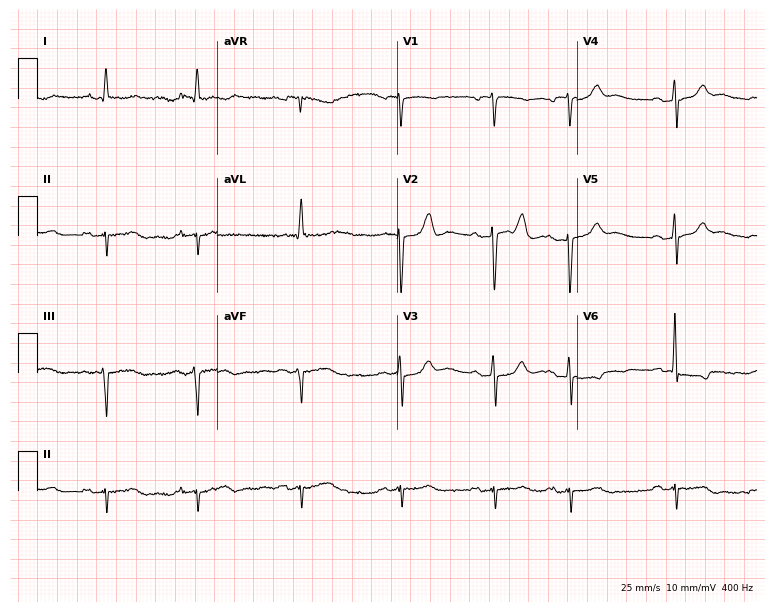
Electrocardiogram (7.3-second recording at 400 Hz), an 81-year-old male. Of the six screened findings (first-degree AV block, right bundle branch block (RBBB), left bundle branch block (LBBB), sinus bradycardia, atrial fibrillation (AF), sinus tachycardia), none is recorded.